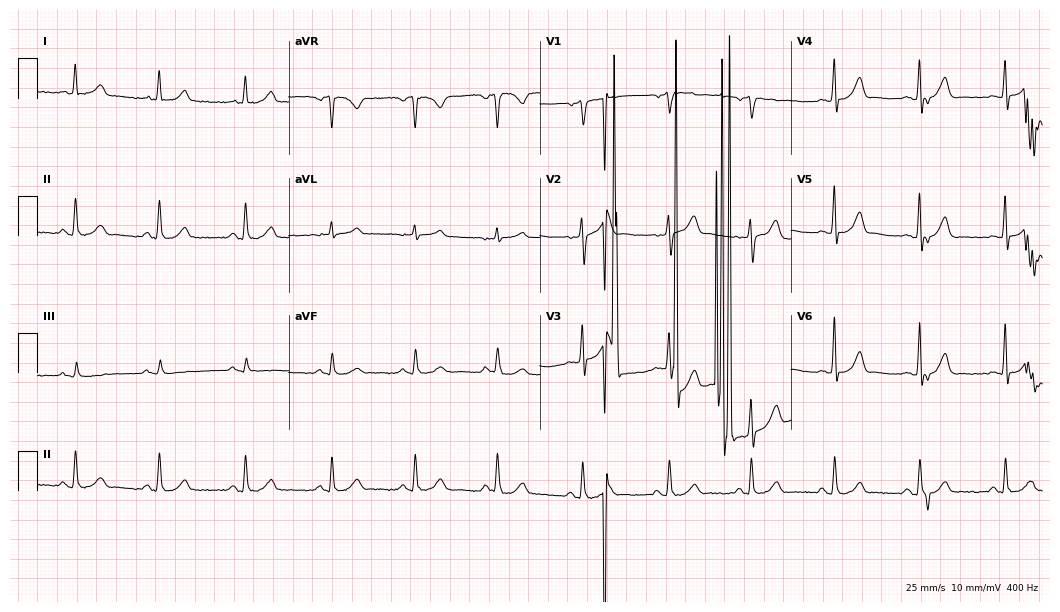
ECG — a male, 58 years old. Screened for six findings — first-degree AV block, right bundle branch block, left bundle branch block, sinus bradycardia, atrial fibrillation, sinus tachycardia — none is recorded. Findings outside these six are not listed.